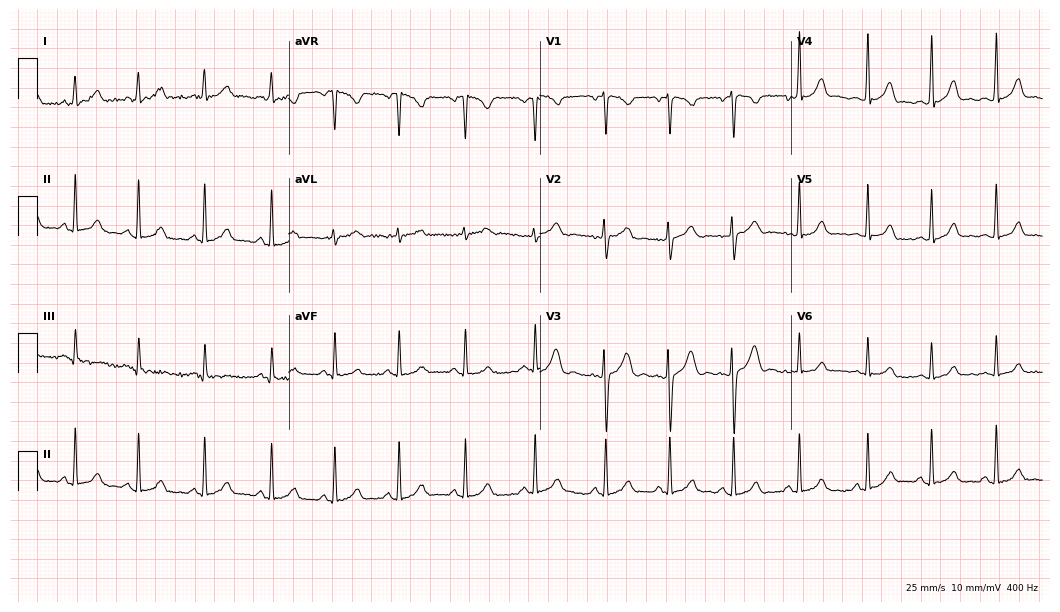
Electrocardiogram (10.2-second recording at 400 Hz), a woman, 24 years old. Overall reading on record: normal ECG.